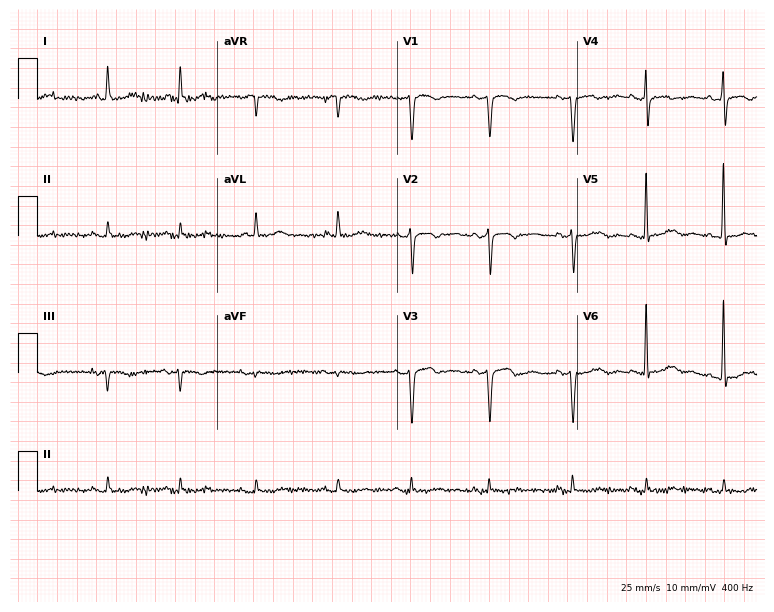
Resting 12-lead electrocardiogram (7.3-second recording at 400 Hz). Patient: an 83-year-old female. None of these six findings is recorded: first-degree AV block, right bundle branch block, left bundle branch block, sinus bradycardia, atrial fibrillation, sinus tachycardia. Only these six findings were labelled.